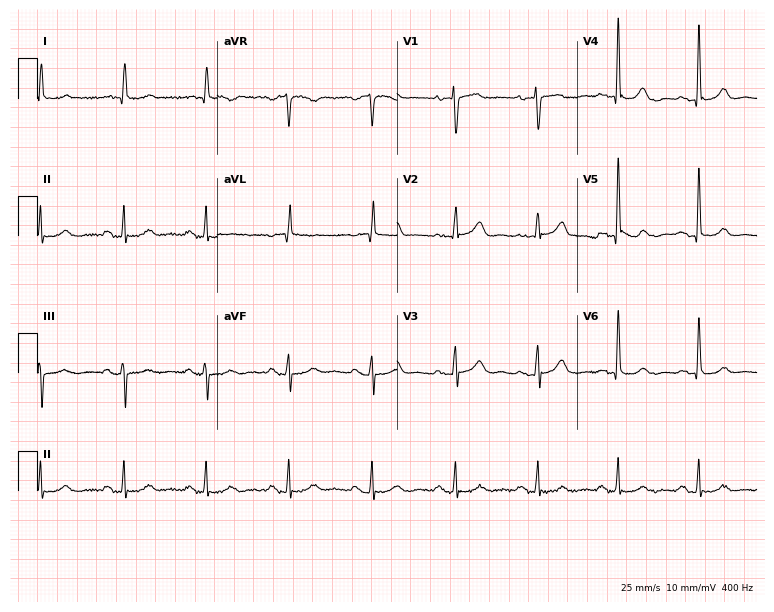
Standard 12-lead ECG recorded from a 77-year-old woman. Read as a normal ECG.